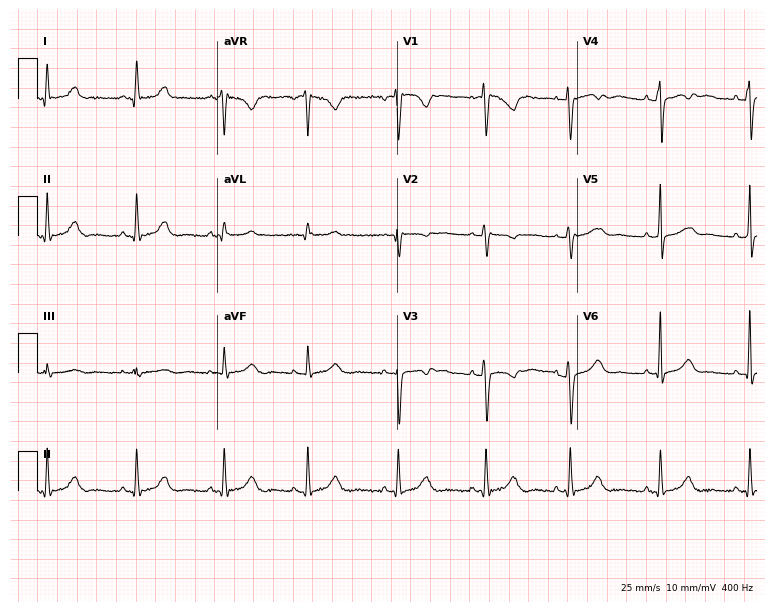
ECG (7.3-second recording at 400 Hz) — a female, 33 years old. Labelled as a normal ECG.